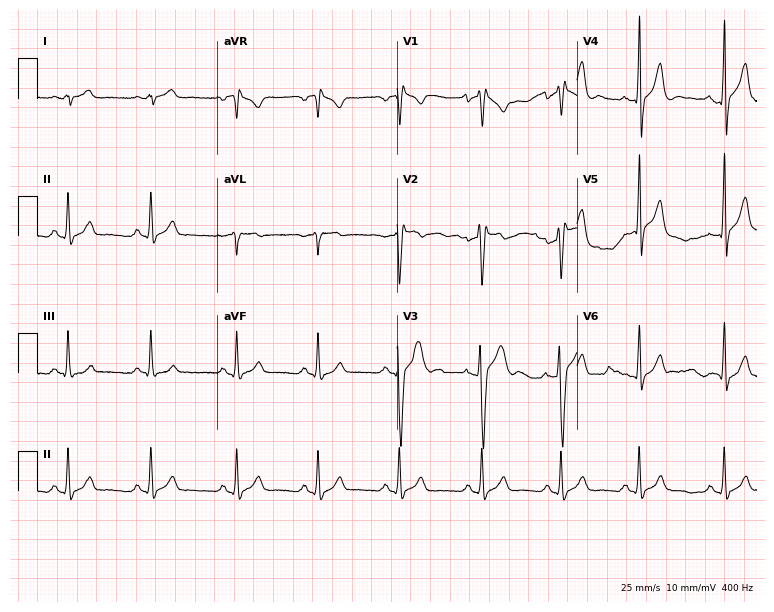
Standard 12-lead ECG recorded from an 18-year-old male. None of these six findings is recorded: first-degree AV block, right bundle branch block, left bundle branch block, sinus bradycardia, atrial fibrillation, sinus tachycardia. Other findings, if any, are not listed.